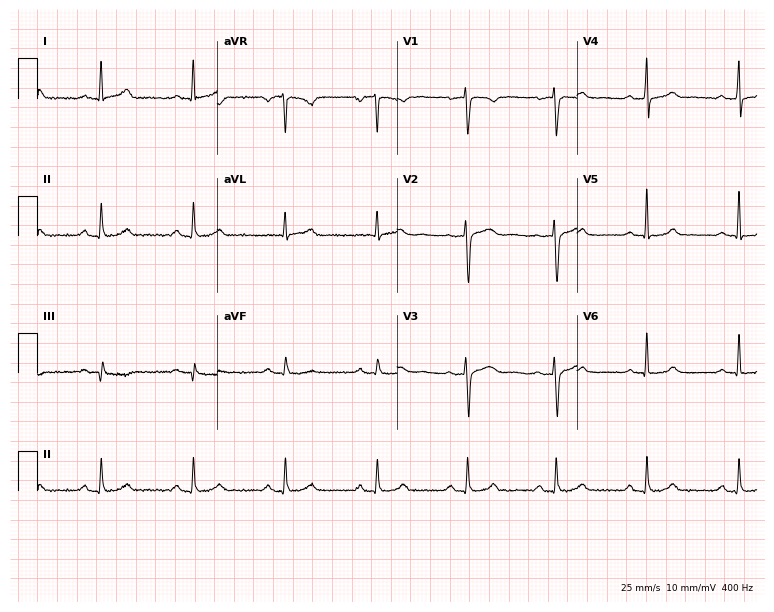
12-lead ECG from a 31-year-old woman. Recorded interpretation: within normal limits.